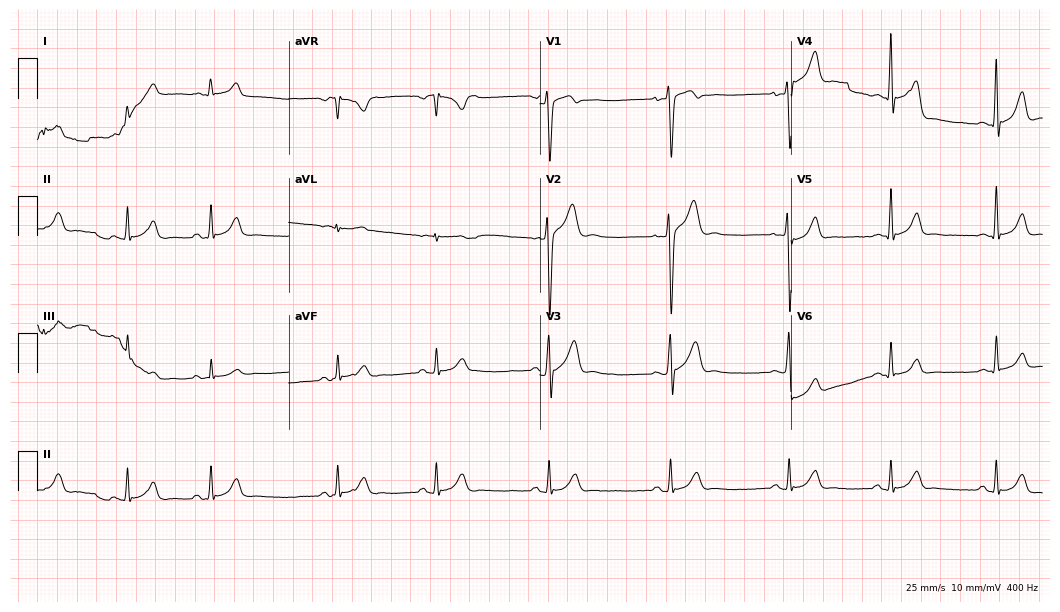
Electrocardiogram, a male, 20 years old. Overall reading on record: normal ECG.